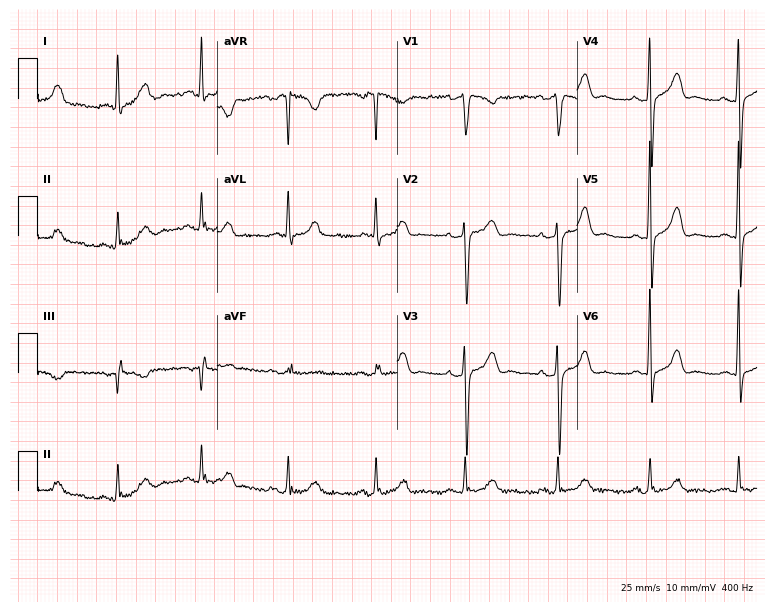
Electrocardiogram, a 56-year-old female patient. Overall reading on record: normal ECG.